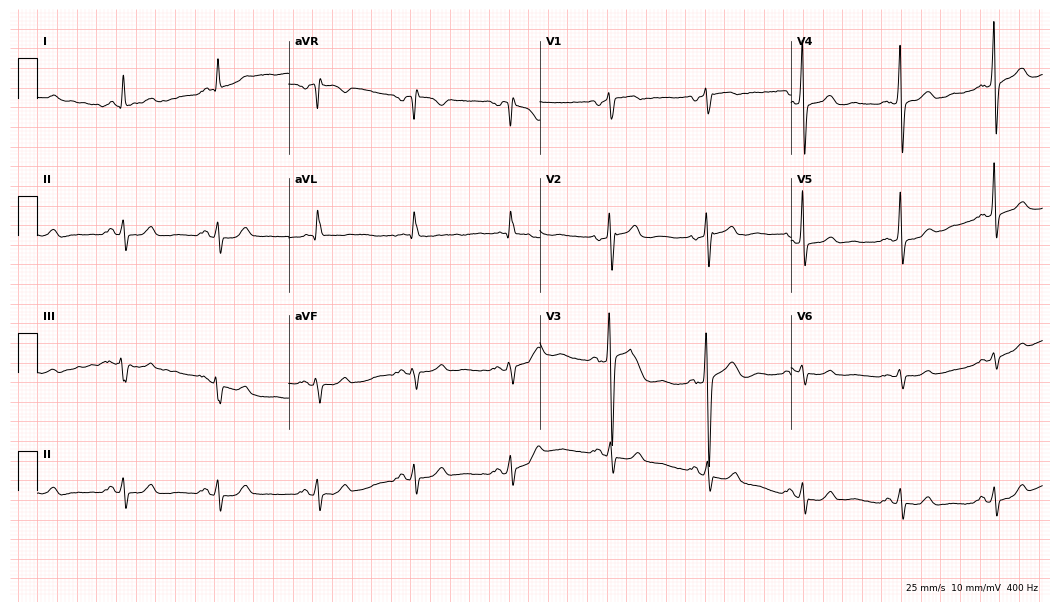
ECG — a 41-year-old man. Screened for six findings — first-degree AV block, right bundle branch block (RBBB), left bundle branch block (LBBB), sinus bradycardia, atrial fibrillation (AF), sinus tachycardia — none is recorded. Only these six findings were labelled.